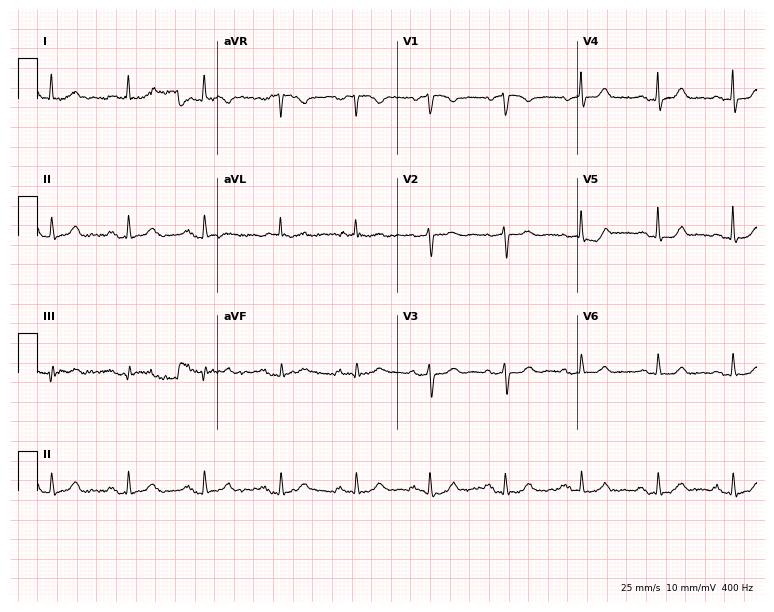
Standard 12-lead ECG recorded from a woman, 84 years old (7.3-second recording at 400 Hz). None of these six findings is recorded: first-degree AV block, right bundle branch block (RBBB), left bundle branch block (LBBB), sinus bradycardia, atrial fibrillation (AF), sinus tachycardia. Only these six findings were labelled.